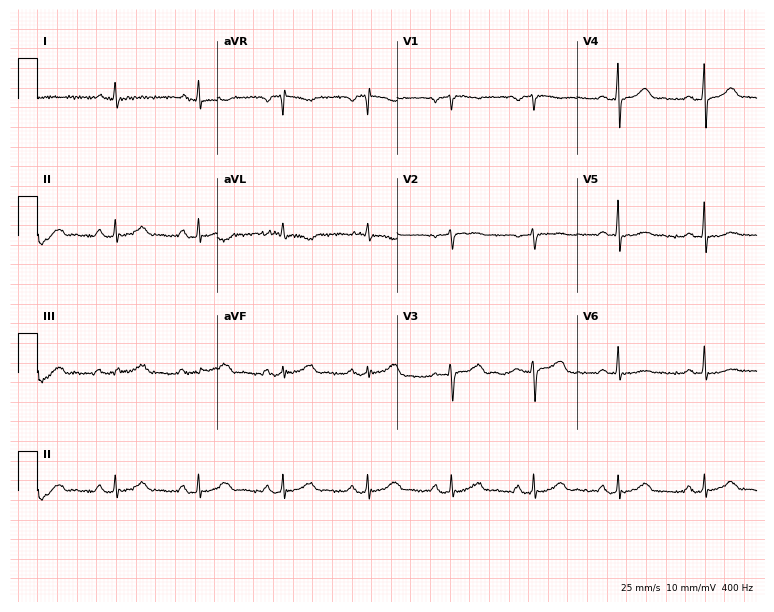
ECG — a female patient, 65 years old. Screened for six findings — first-degree AV block, right bundle branch block, left bundle branch block, sinus bradycardia, atrial fibrillation, sinus tachycardia — none is recorded. Findings outside these six are not listed.